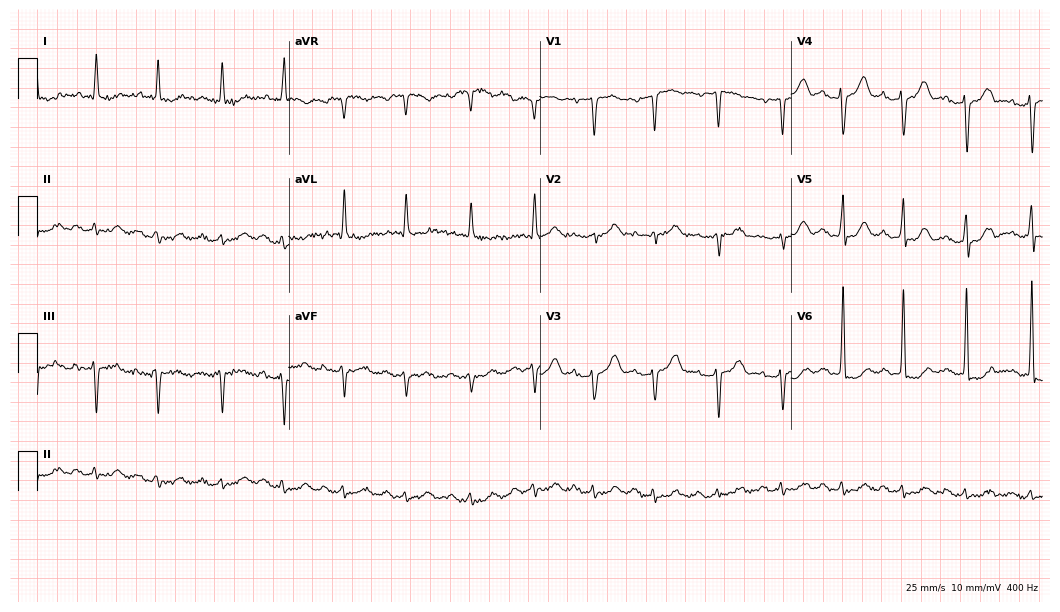
Electrocardiogram (10.2-second recording at 400 Hz), a man, 86 years old. Of the six screened findings (first-degree AV block, right bundle branch block, left bundle branch block, sinus bradycardia, atrial fibrillation, sinus tachycardia), none is recorded. Other findings, if any, are not listed.